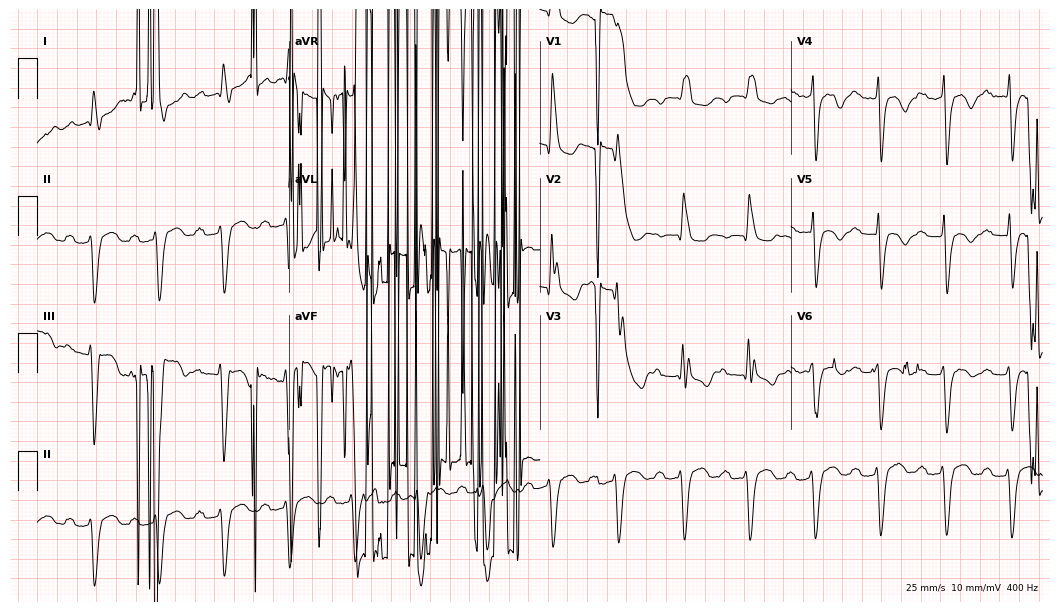
12-lead ECG (10.2-second recording at 400 Hz) from a 73-year-old woman. Screened for six findings — first-degree AV block, right bundle branch block, left bundle branch block, sinus bradycardia, atrial fibrillation, sinus tachycardia — none is recorded.